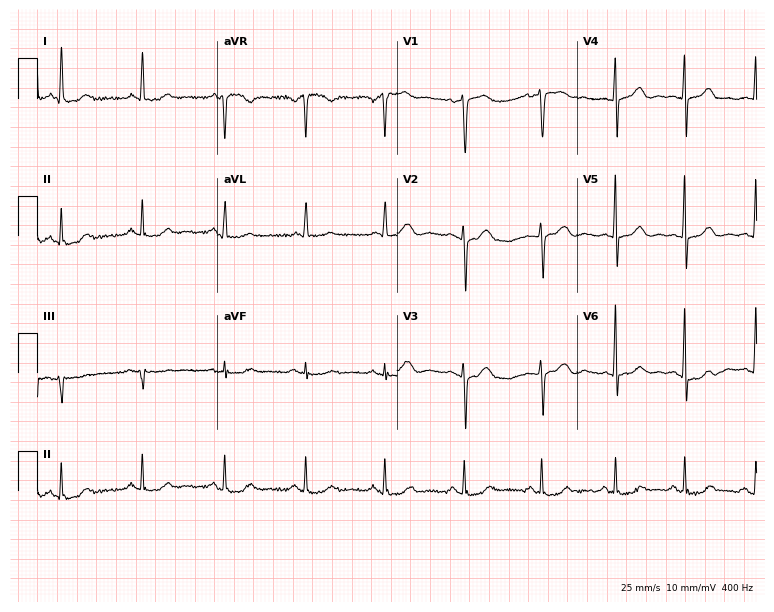
ECG — a woman, 49 years old. Screened for six findings — first-degree AV block, right bundle branch block (RBBB), left bundle branch block (LBBB), sinus bradycardia, atrial fibrillation (AF), sinus tachycardia — none is recorded. Other findings, if any, are not listed.